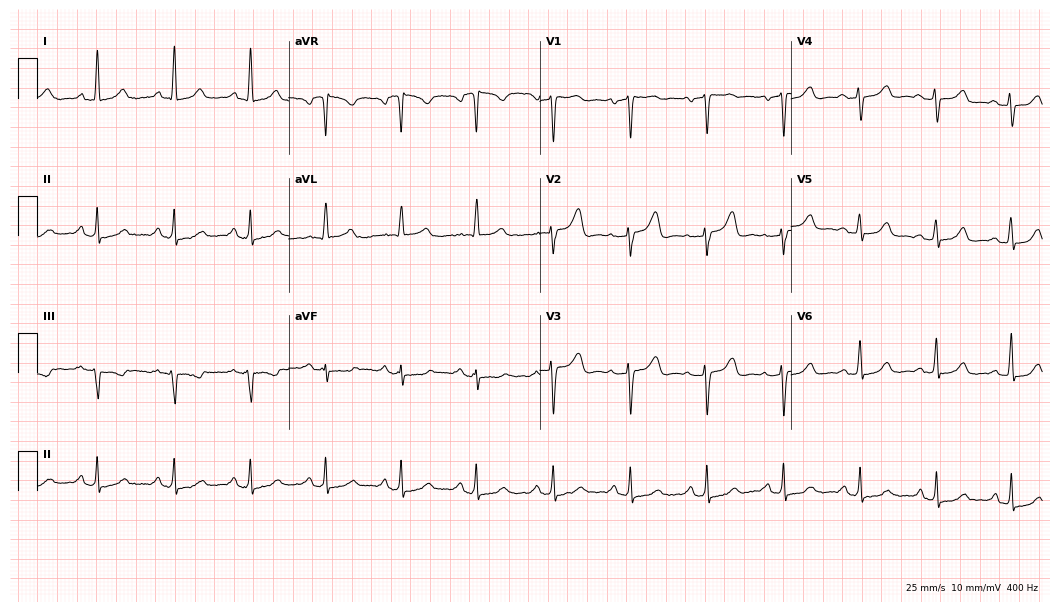
Resting 12-lead electrocardiogram (10.2-second recording at 400 Hz). Patient: a 52-year-old female. Read as a normal ECG.